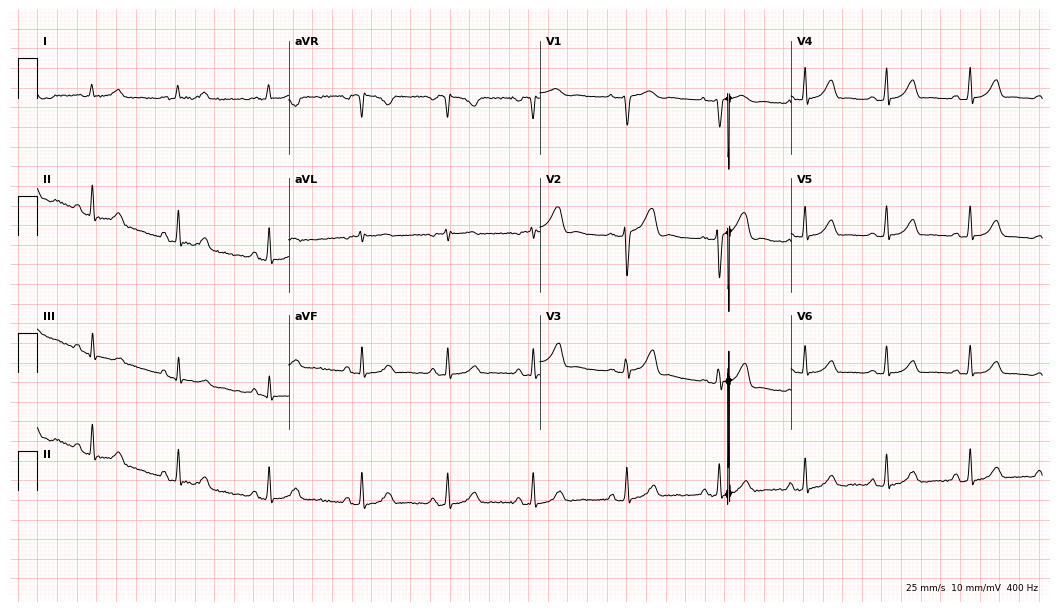
12-lead ECG from a female, 20 years old. Labelled as a normal ECG.